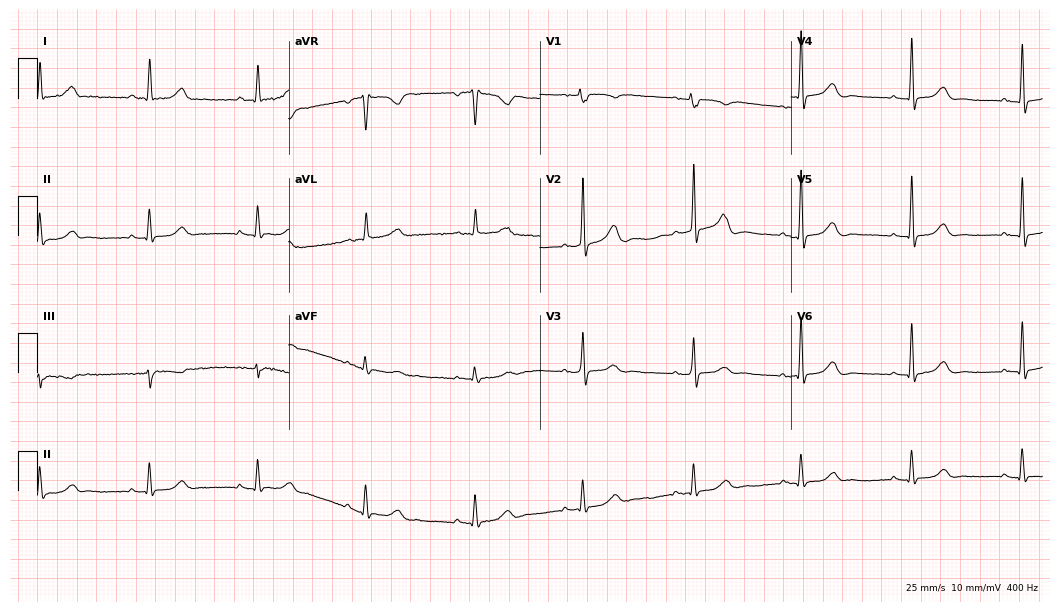
Resting 12-lead electrocardiogram (10.2-second recording at 400 Hz). Patient: a 77-year-old female. Read as a normal ECG.